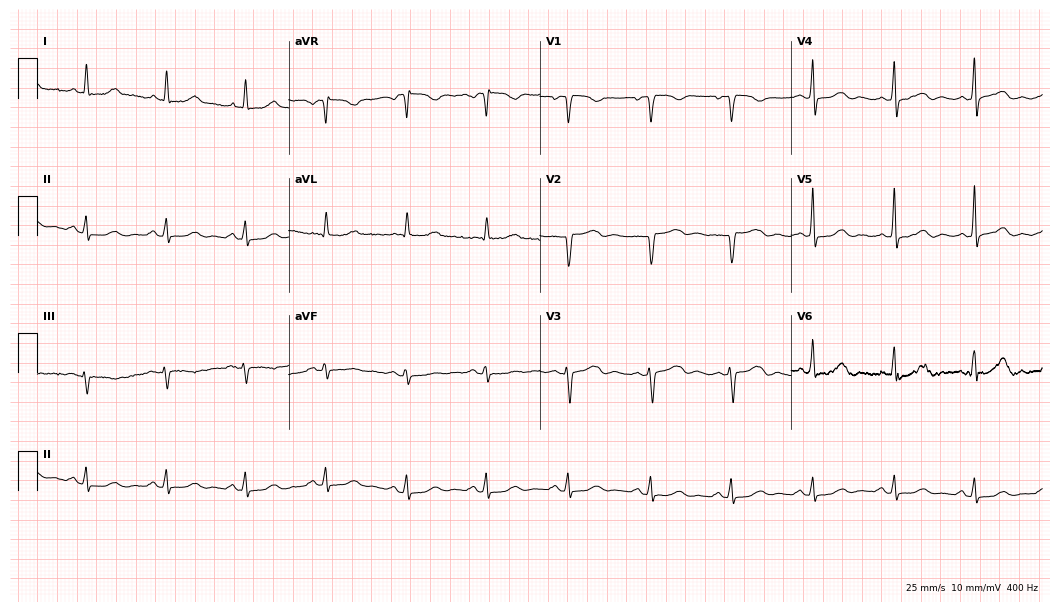
12-lead ECG from a 49-year-old female (10.2-second recording at 400 Hz). Recorded interpretation: within normal limits.